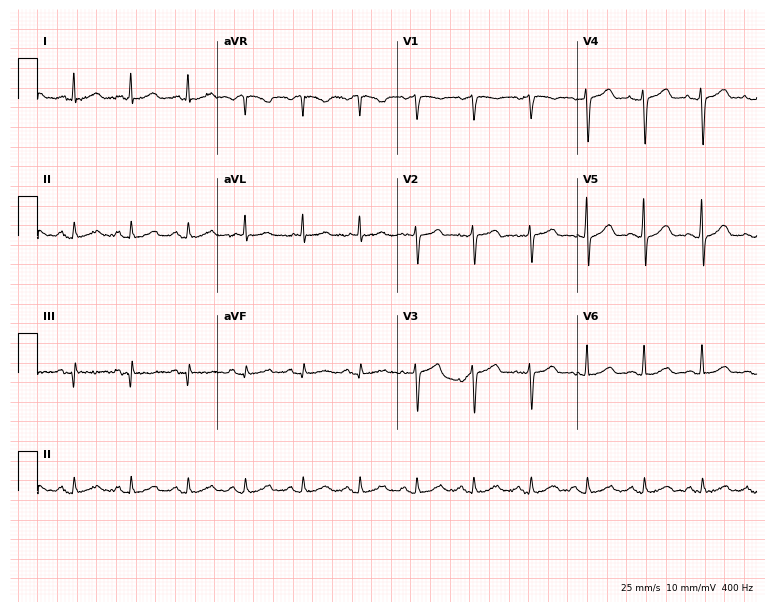
12-lead ECG (7.3-second recording at 400 Hz) from a 43-year-old female patient. Findings include sinus tachycardia (a sinus rate of 100 beats per minute or more).